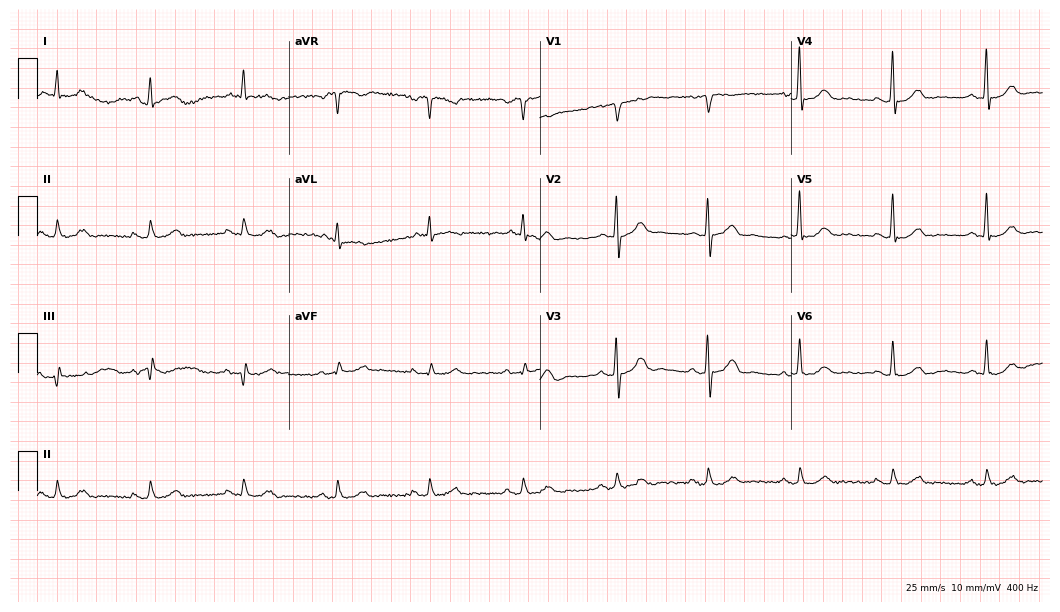
Electrocardiogram, a 66-year-old man. Of the six screened findings (first-degree AV block, right bundle branch block, left bundle branch block, sinus bradycardia, atrial fibrillation, sinus tachycardia), none is recorded. Other findings, if any, are not listed.